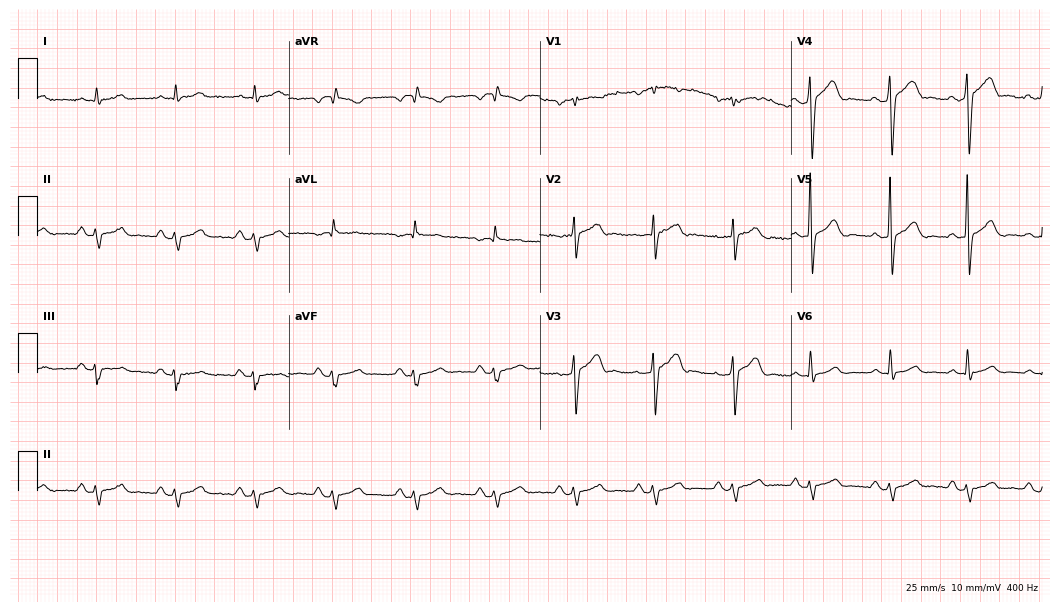
ECG (10.2-second recording at 400 Hz) — a 68-year-old male patient. Screened for six findings — first-degree AV block, right bundle branch block (RBBB), left bundle branch block (LBBB), sinus bradycardia, atrial fibrillation (AF), sinus tachycardia — none is recorded. Only these six findings were labelled.